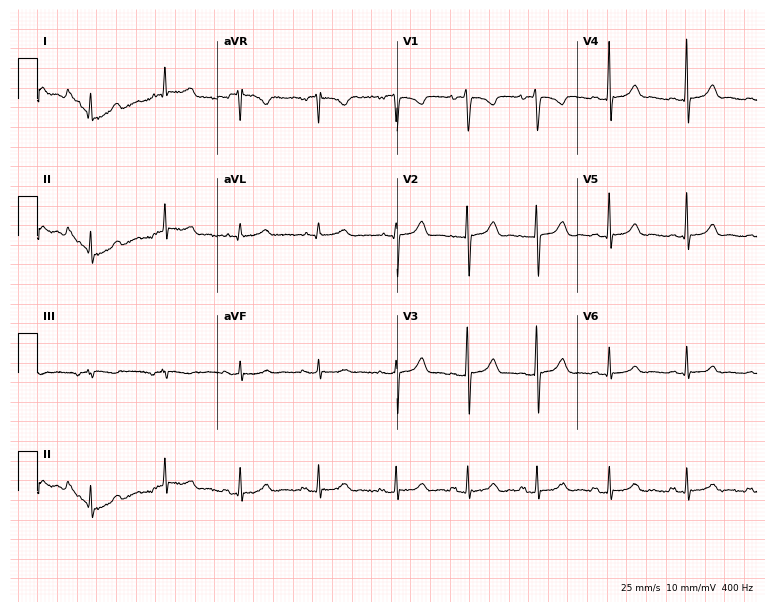
Standard 12-lead ECG recorded from a 30-year-old woman (7.3-second recording at 400 Hz). Read as a normal ECG.